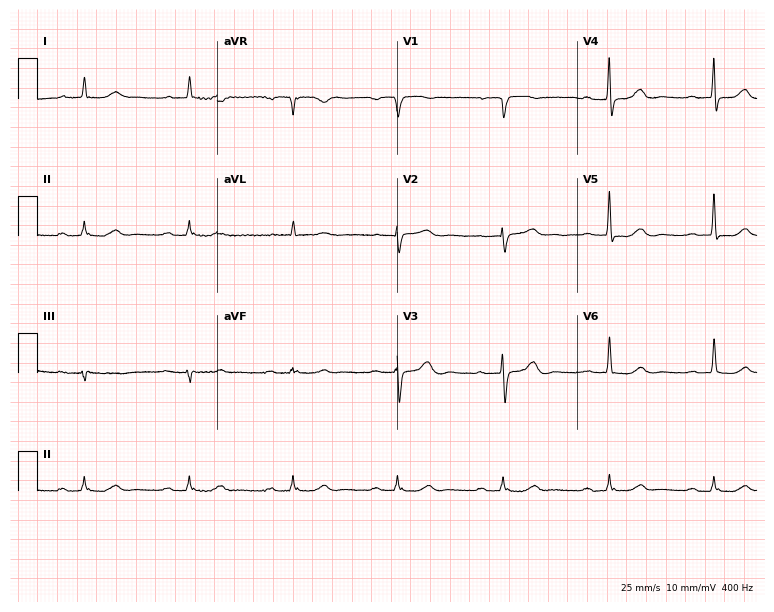
12-lead ECG from an 85-year-old male. Shows first-degree AV block.